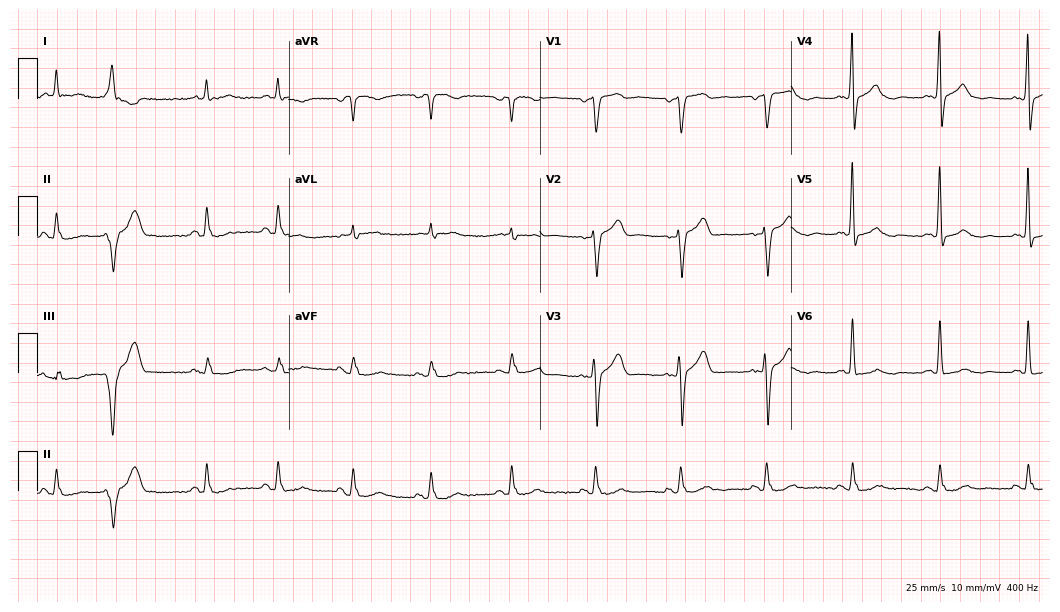
12-lead ECG from a 70-year-old male patient. Recorded interpretation: within normal limits.